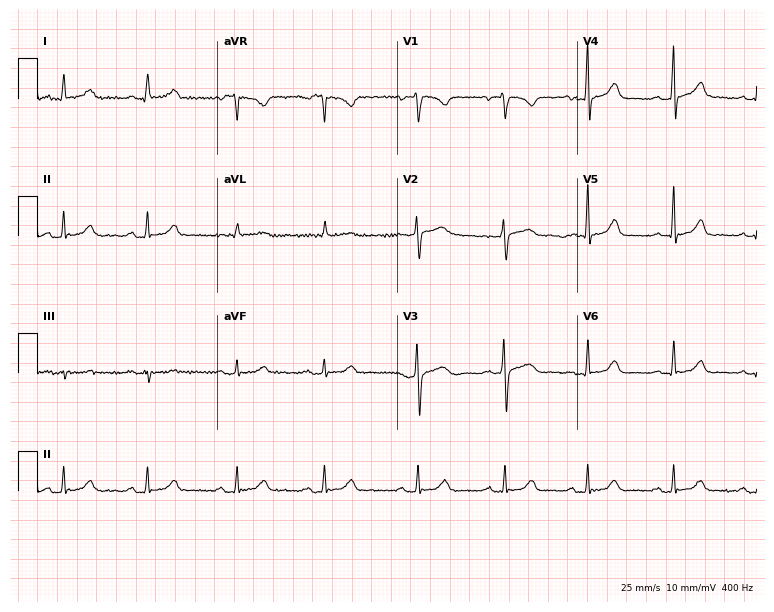
12-lead ECG from a 40-year-old woman. Screened for six findings — first-degree AV block, right bundle branch block (RBBB), left bundle branch block (LBBB), sinus bradycardia, atrial fibrillation (AF), sinus tachycardia — none is recorded. Findings outside these six are not listed.